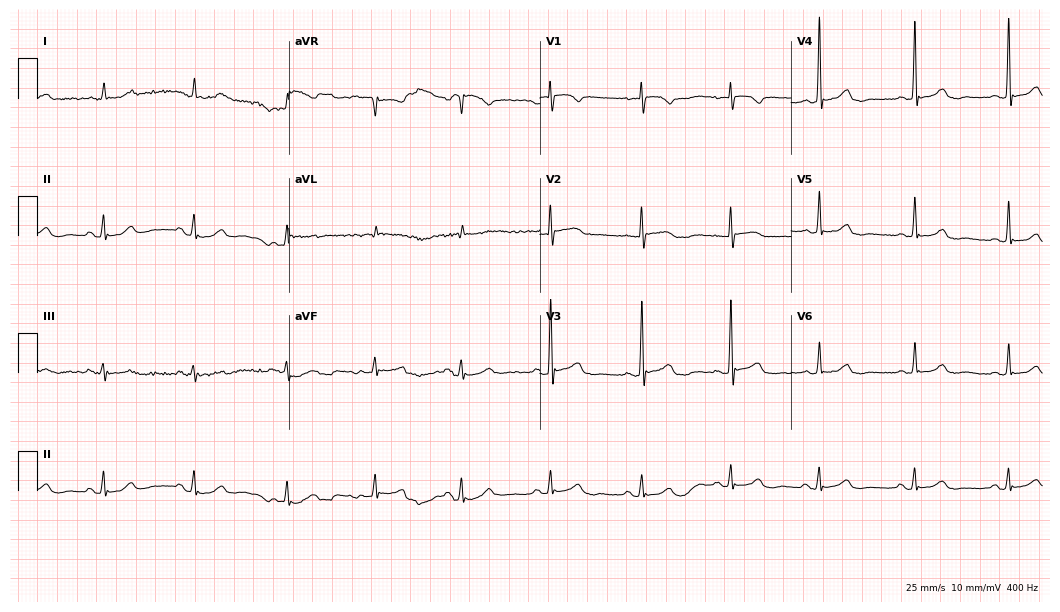
12-lead ECG from a 51-year-old woman (10.2-second recording at 400 Hz). Recorded interpretation: within normal limits.